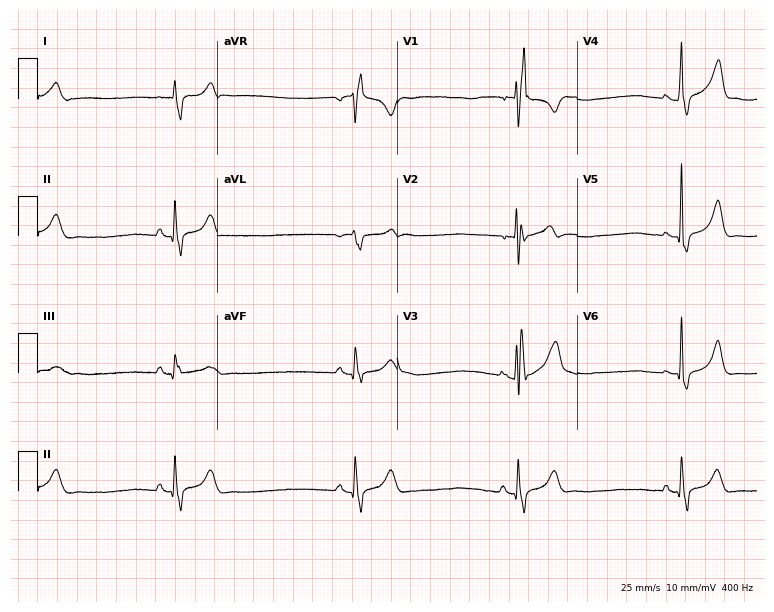
12-lead ECG from a 25-year-old man. Shows right bundle branch block, sinus bradycardia (a sinus rate of 50 beats per minute or less).